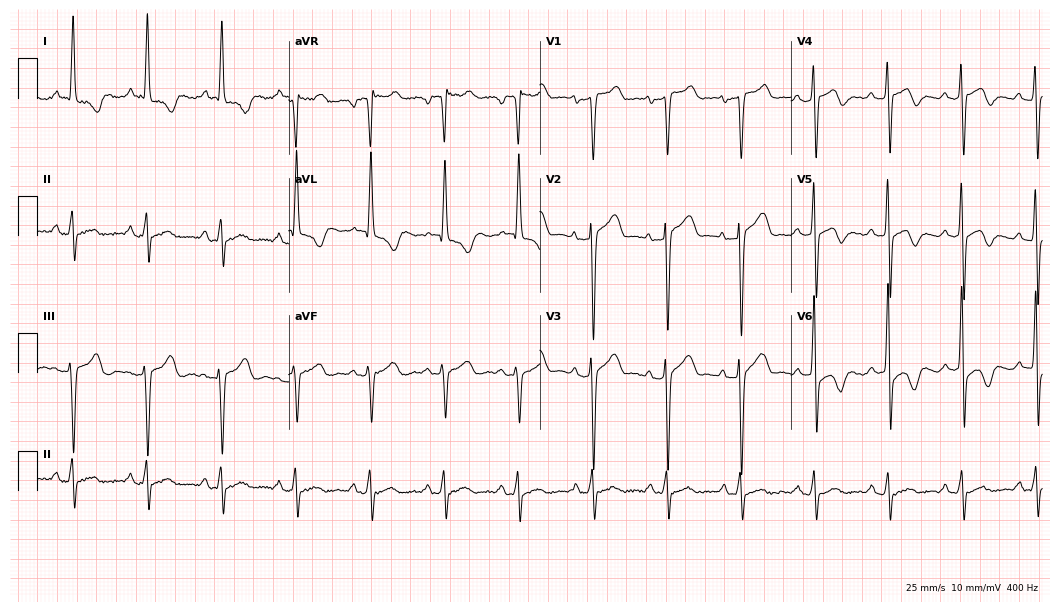
Standard 12-lead ECG recorded from a 68-year-old male. None of these six findings is recorded: first-degree AV block, right bundle branch block (RBBB), left bundle branch block (LBBB), sinus bradycardia, atrial fibrillation (AF), sinus tachycardia.